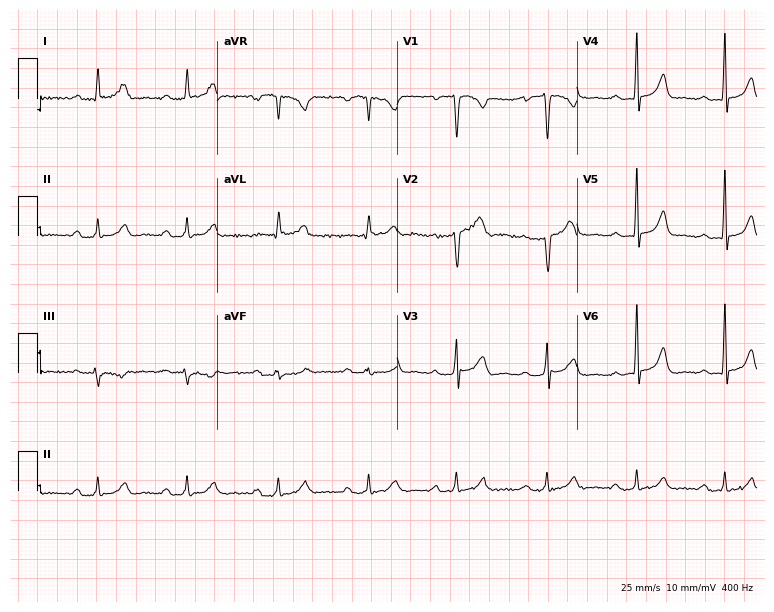
12-lead ECG (7.3-second recording at 400 Hz) from a male patient, 34 years old. Screened for six findings — first-degree AV block, right bundle branch block, left bundle branch block, sinus bradycardia, atrial fibrillation, sinus tachycardia — none is recorded. Other findings, if any, are not listed.